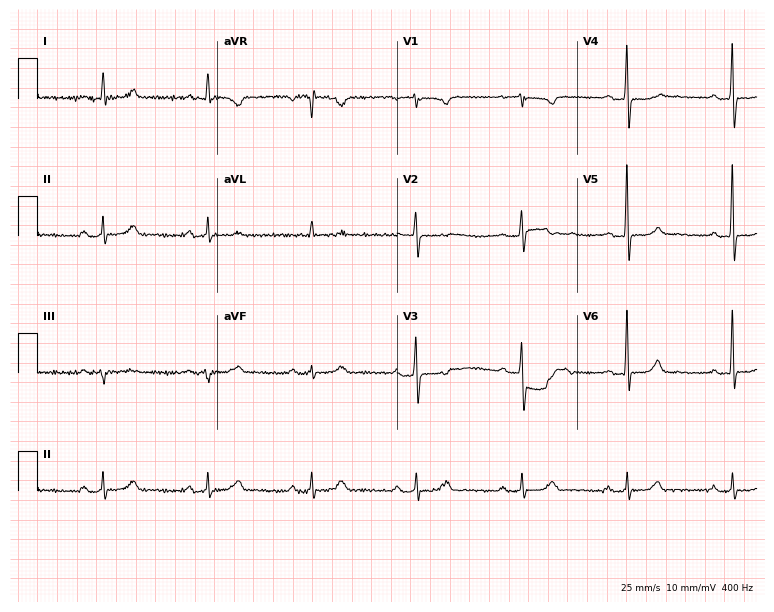
Electrocardiogram, a 58-year-old man. Of the six screened findings (first-degree AV block, right bundle branch block, left bundle branch block, sinus bradycardia, atrial fibrillation, sinus tachycardia), none is recorded. Other findings, if any, are not listed.